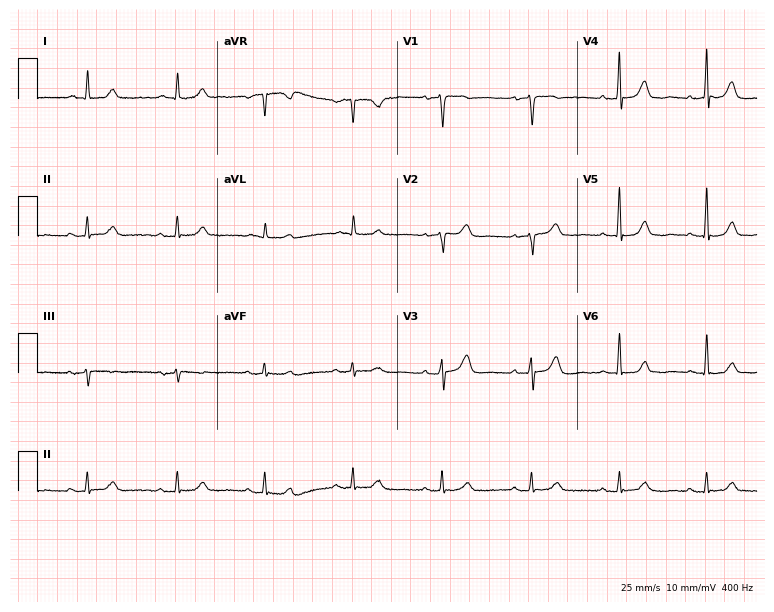
12-lead ECG from a 77-year-old female. Recorded interpretation: within normal limits.